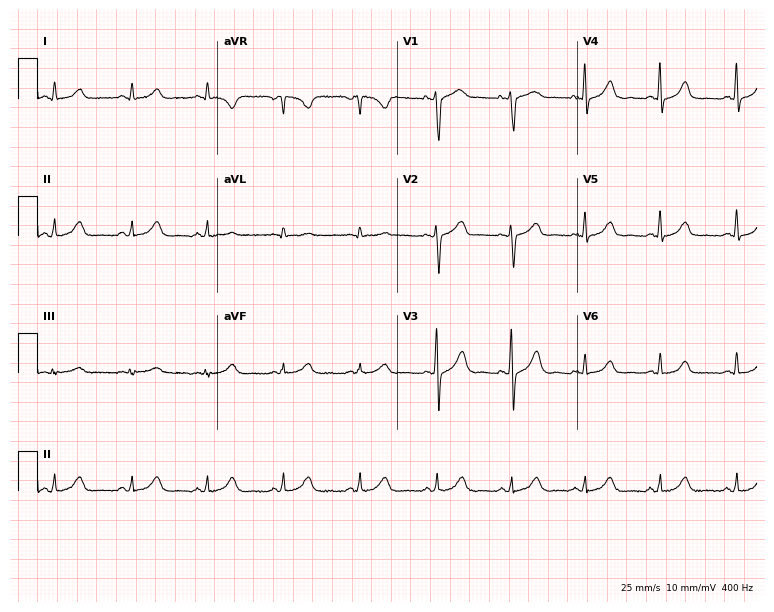
Standard 12-lead ECG recorded from a 39-year-old female. Read as a normal ECG.